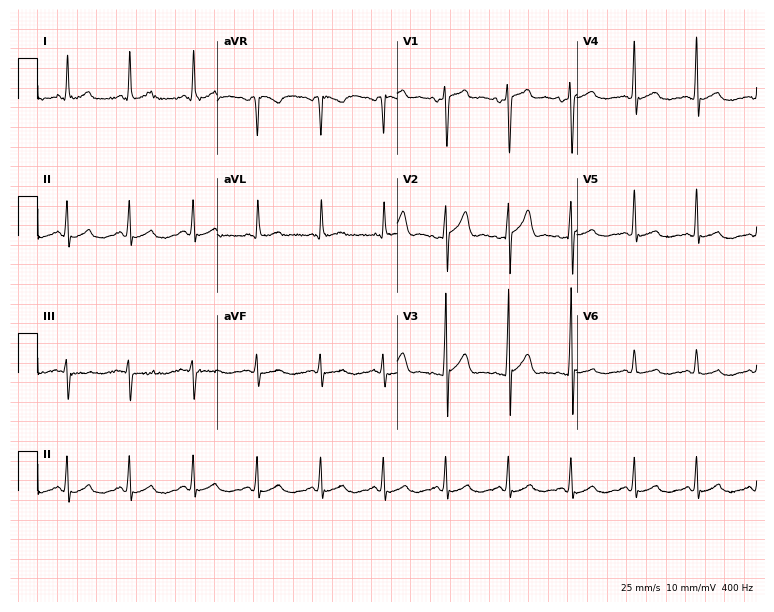
Resting 12-lead electrocardiogram. Patient: a man, 53 years old. Read as a normal ECG.